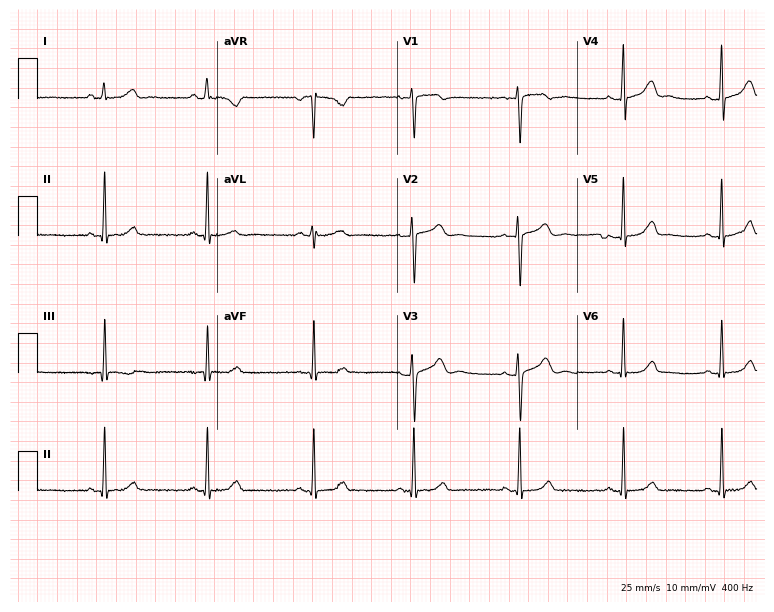
12-lead ECG from a 28-year-old female (7.3-second recording at 400 Hz). No first-degree AV block, right bundle branch block (RBBB), left bundle branch block (LBBB), sinus bradycardia, atrial fibrillation (AF) or sinus tachycardia recorded for this tracing. Only these six findings were labelled.